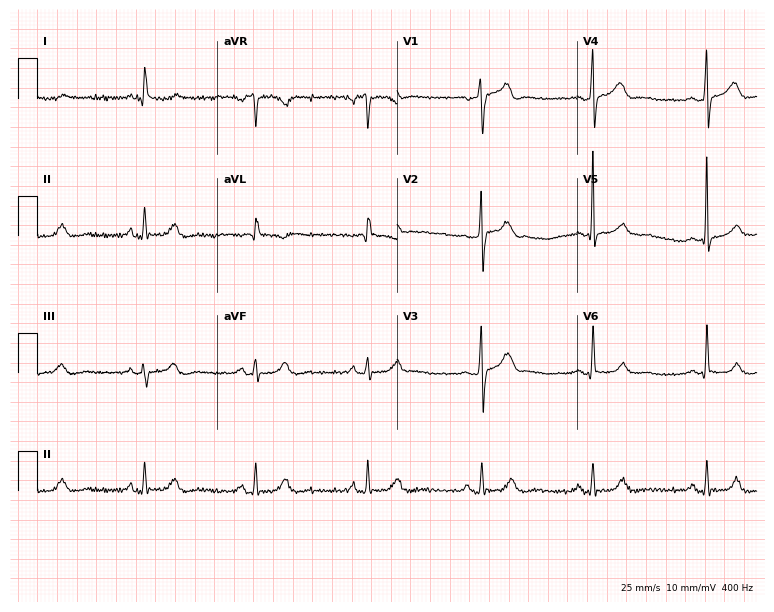
Resting 12-lead electrocardiogram. Patient: a 58-year-old male. Read as a normal ECG.